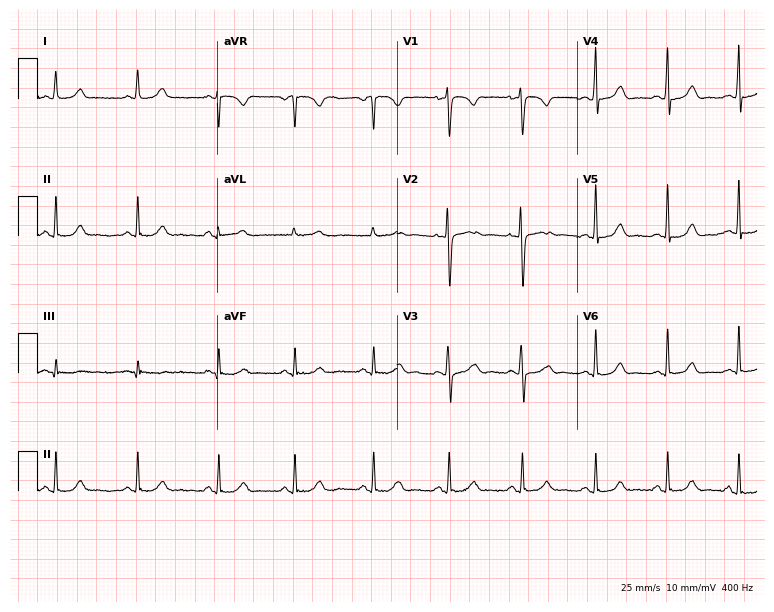
12-lead ECG from a 32-year-old female. Recorded interpretation: within normal limits.